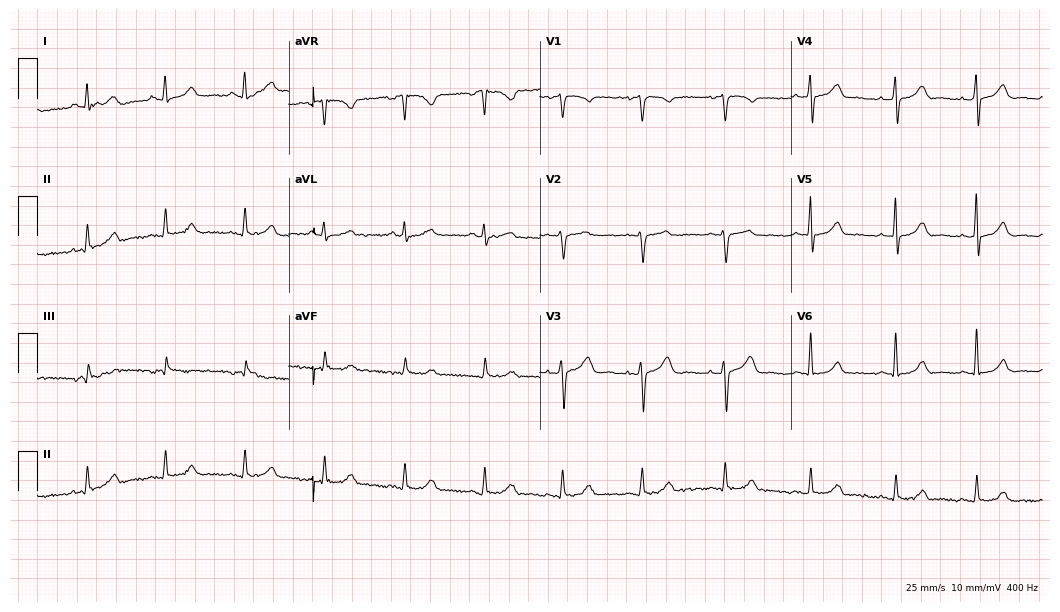
12-lead ECG from a 40-year-old woman. No first-degree AV block, right bundle branch block (RBBB), left bundle branch block (LBBB), sinus bradycardia, atrial fibrillation (AF) or sinus tachycardia recorded for this tracing. Only these six findings were labelled.